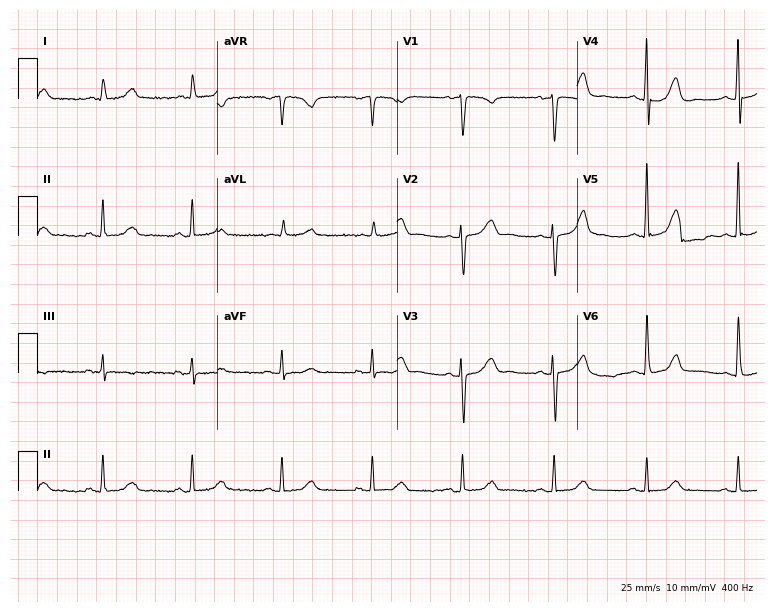
Standard 12-lead ECG recorded from a female, 76 years old. Read as a normal ECG.